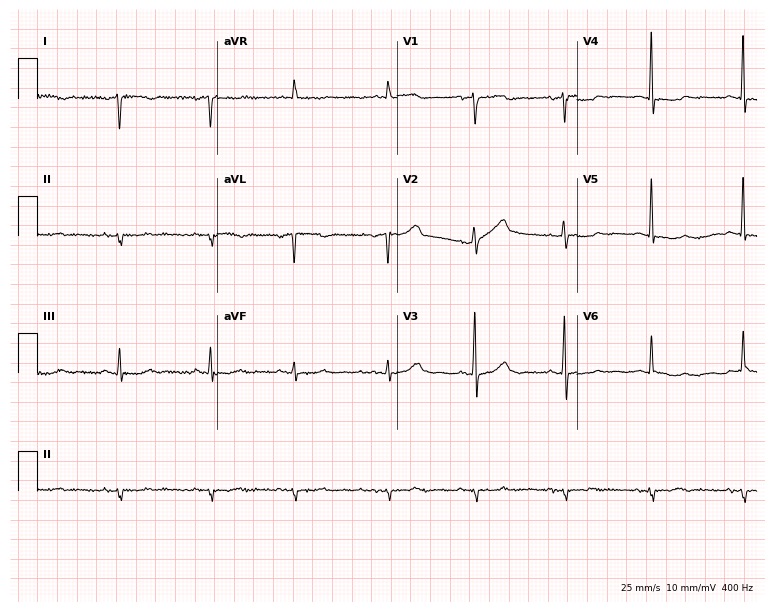
12-lead ECG from an 83-year-old woman. Screened for six findings — first-degree AV block, right bundle branch block (RBBB), left bundle branch block (LBBB), sinus bradycardia, atrial fibrillation (AF), sinus tachycardia — none is recorded.